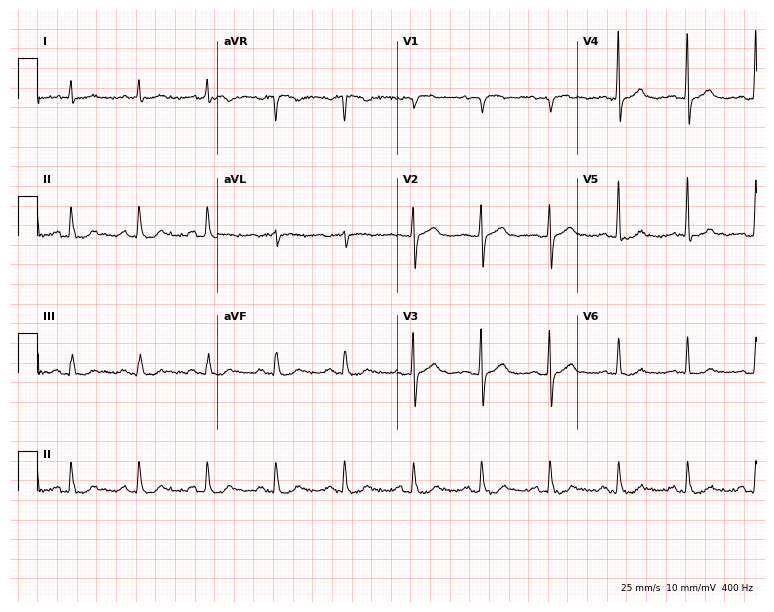
12-lead ECG from a 73-year-old woman. No first-degree AV block, right bundle branch block (RBBB), left bundle branch block (LBBB), sinus bradycardia, atrial fibrillation (AF) or sinus tachycardia recorded for this tracing. Findings outside these six are not listed.